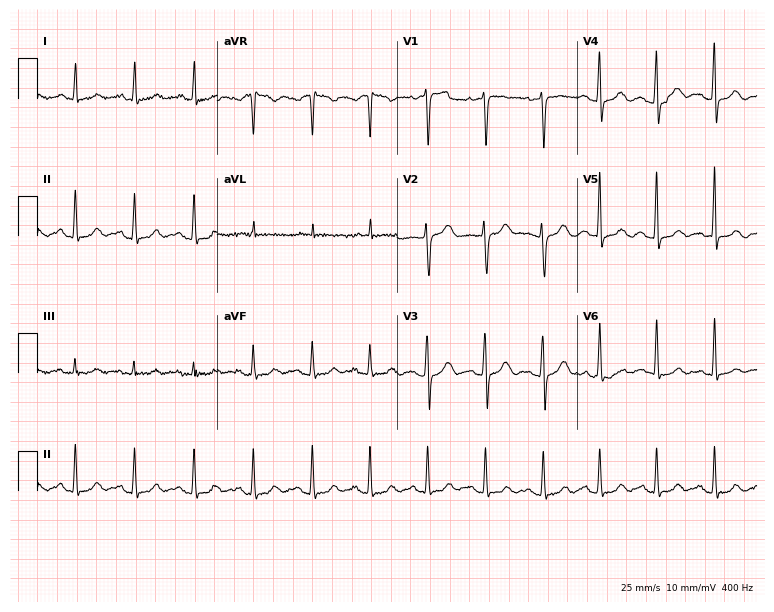
Resting 12-lead electrocardiogram (7.3-second recording at 400 Hz). Patient: a 49-year-old female. None of these six findings is recorded: first-degree AV block, right bundle branch block, left bundle branch block, sinus bradycardia, atrial fibrillation, sinus tachycardia.